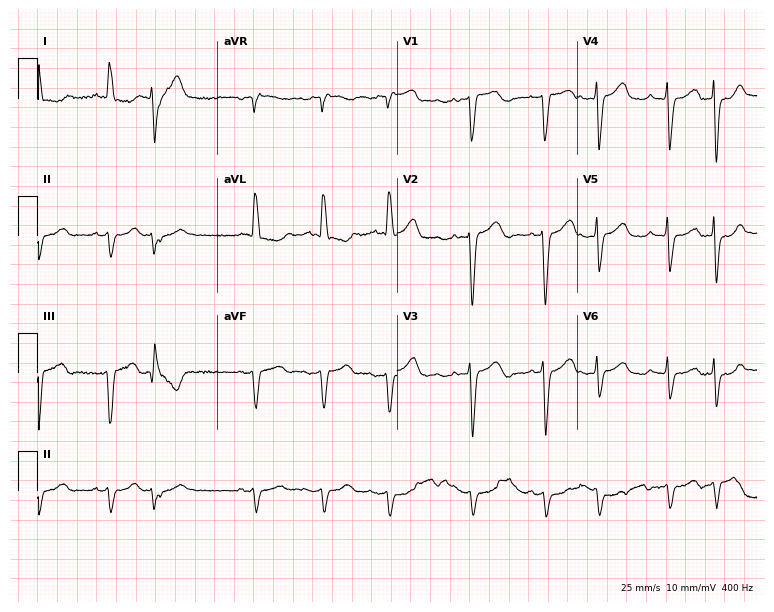
Electrocardiogram (7.3-second recording at 400 Hz), a man, 65 years old. Of the six screened findings (first-degree AV block, right bundle branch block, left bundle branch block, sinus bradycardia, atrial fibrillation, sinus tachycardia), none is recorded.